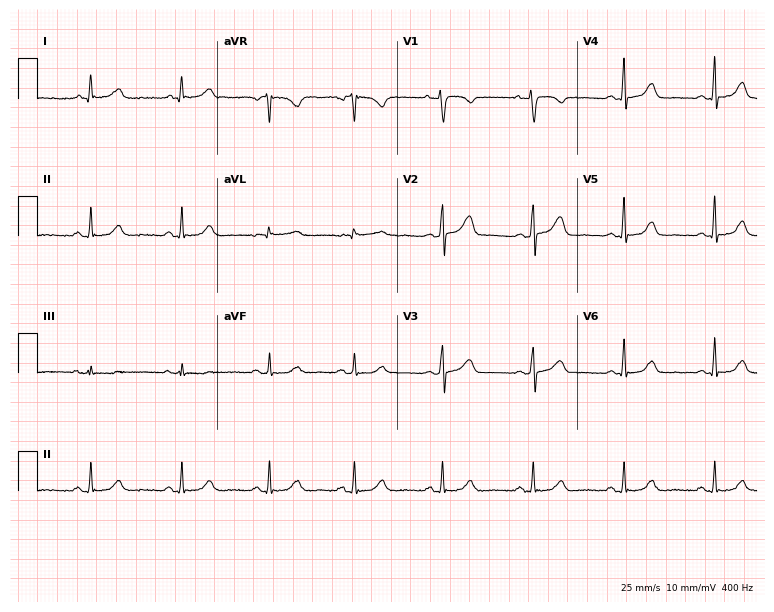
Electrocardiogram, a female patient, 48 years old. Overall reading on record: normal ECG.